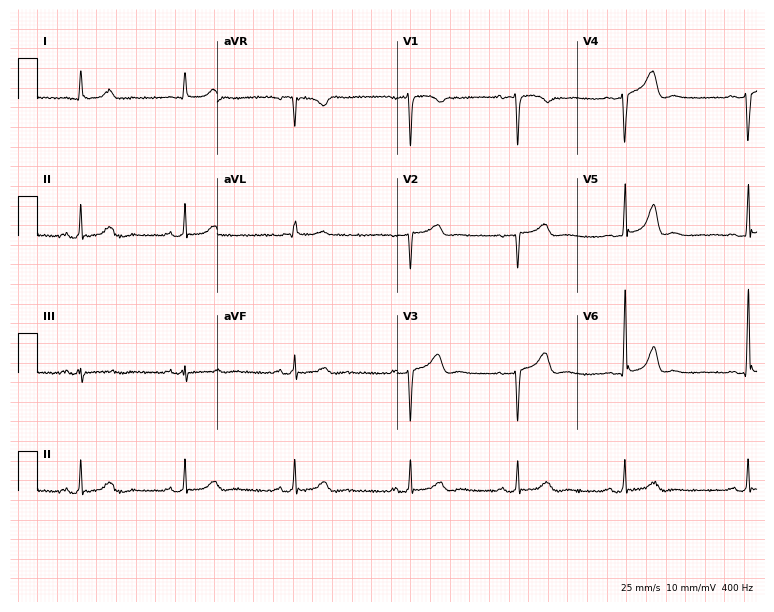
Resting 12-lead electrocardiogram (7.3-second recording at 400 Hz). Patient: a woman, 47 years old. None of these six findings is recorded: first-degree AV block, right bundle branch block, left bundle branch block, sinus bradycardia, atrial fibrillation, sinus tachycardia.